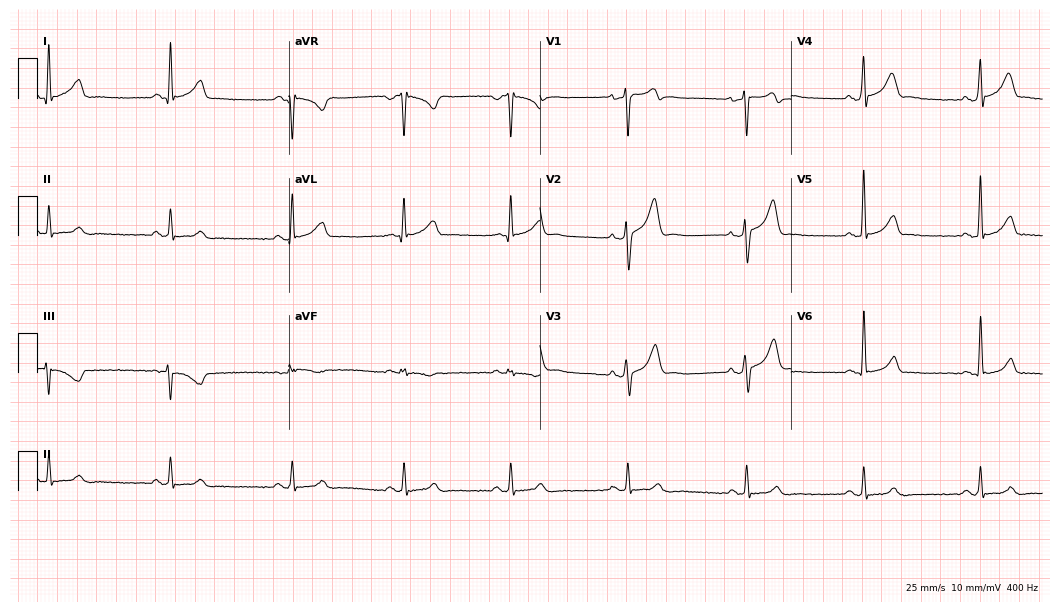
Resting 12-lead electrocardiogram (10.2-second recording at 400 Hz). Patient: a 51-year-old male. Read as a normal ECG.